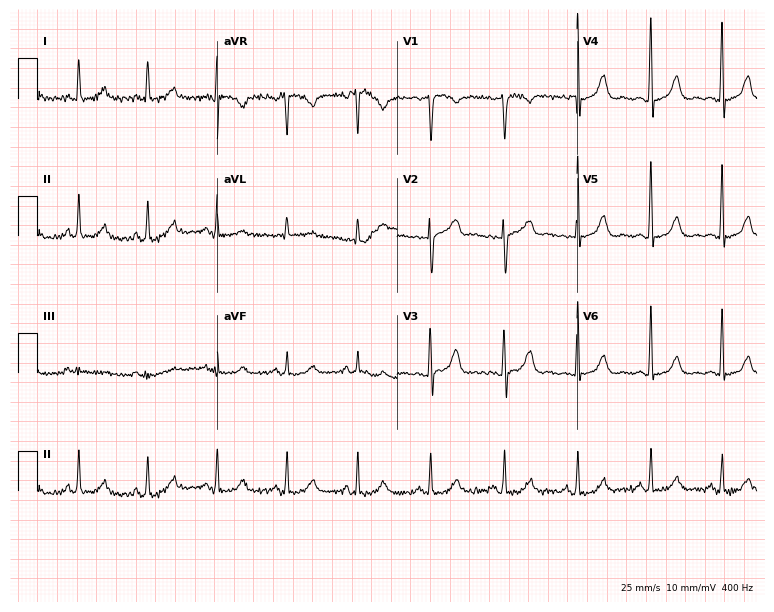
Resting 12-lead electrocardiogram (7.3-second recording at 400 Hz). Patient: a 53-year-old female. None of these six findings is recorded: first-degree AV block, right bundle branch block, left bundle branch block, sinus bradycardia, atrial fibrillation, sinus tachycardia. Findings outside these six are not listed.